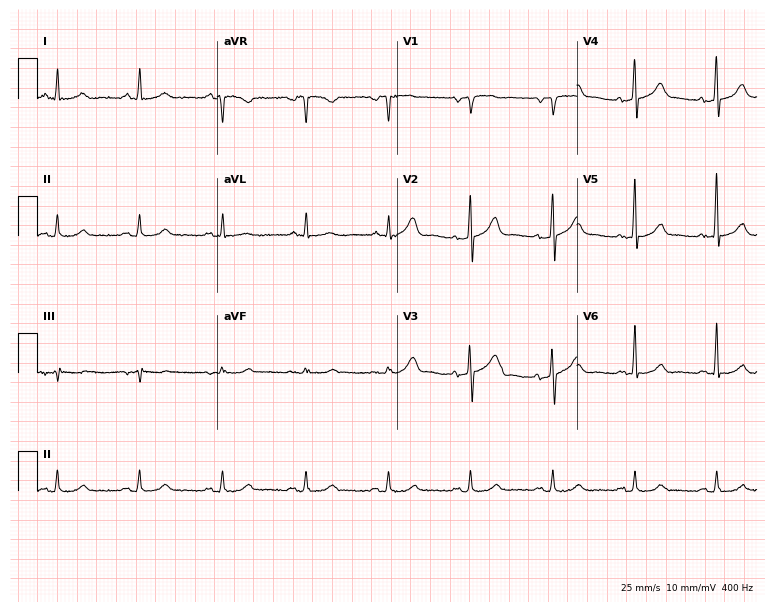
12-lead ECG from a 77-year-old male patient. Recorded interpretation: within normal limits.